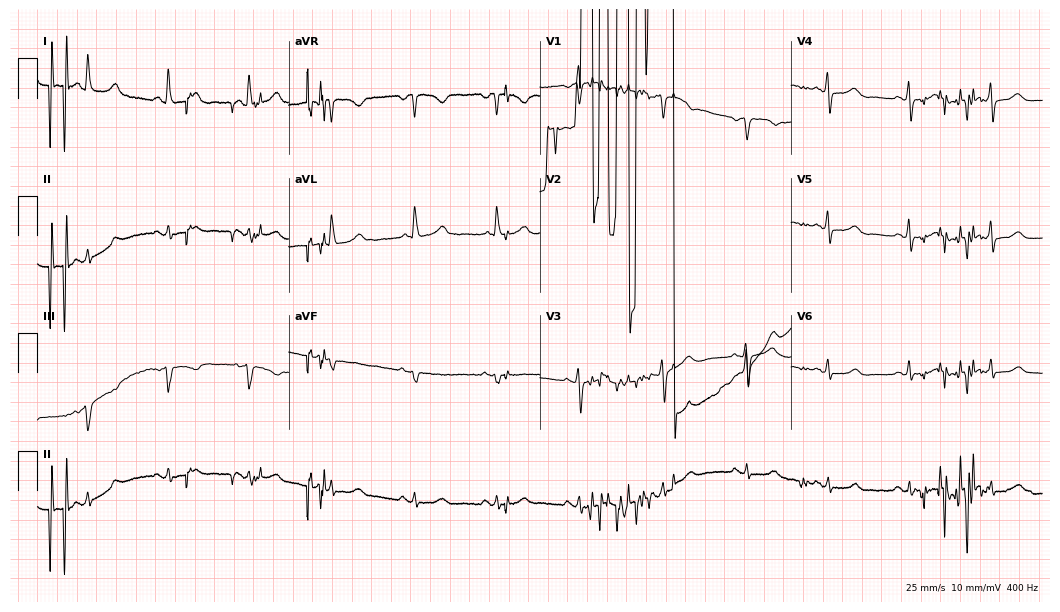
Resting 12-lead electrocardiogram. Patient: a 69-year-old woman. None of these six findings is recorded: first-degree AV block, right bundle branch block (RBBB), left bundle branch block (LBBB), sinus bradycardia, atrial fibrillation (AF), sinus tachycardia.